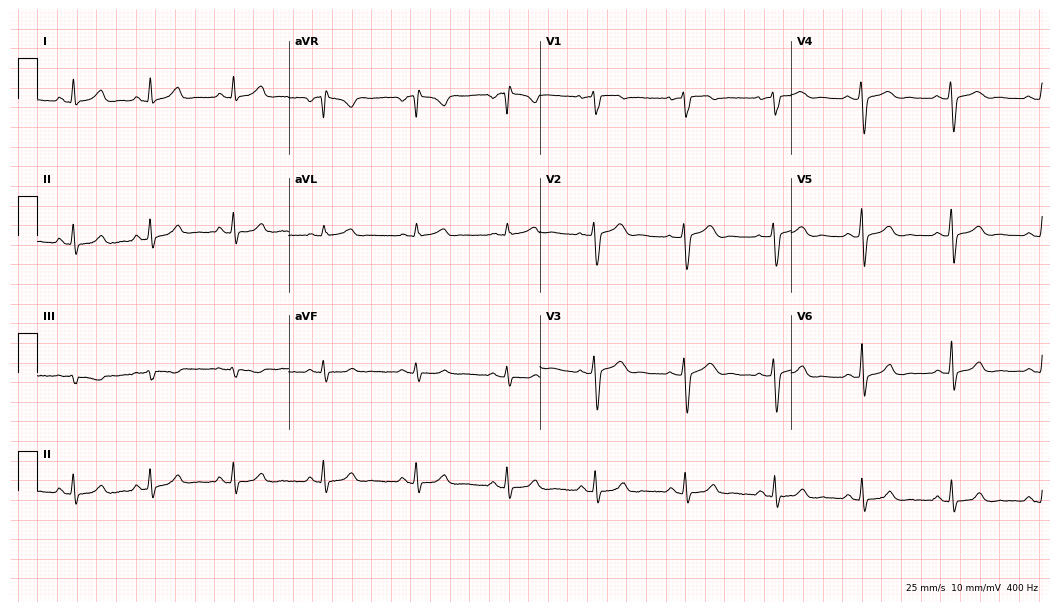
12-lead ECG from a female patient, 50 years old (10.2-second recording at 400 Hz). No first-degree AV block, right bundle branch block, left bundle branch block, sinus bradycardia, atrial fibrillation or sinus tachycardia recorded for this tracing.